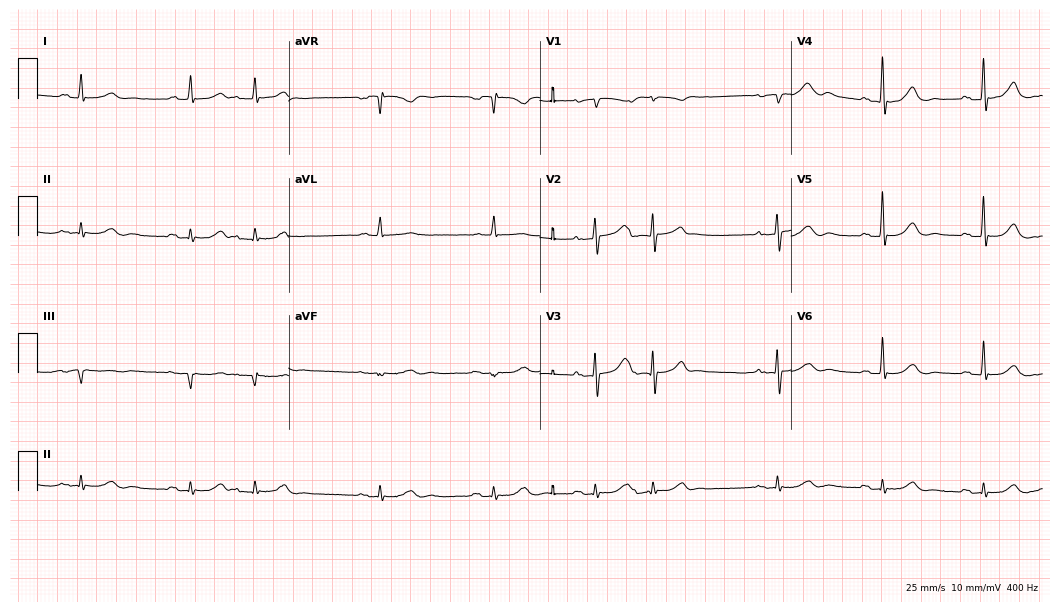
Standard 12-lead ECG recorded from a male, 83 years old. None of these six findings is recorded: first-degree AV block, right bundle branch block, left bundle branch block, sinus bradycardia, atrial fibrillation, sinus tachycardia. Only these six findings were labelled.